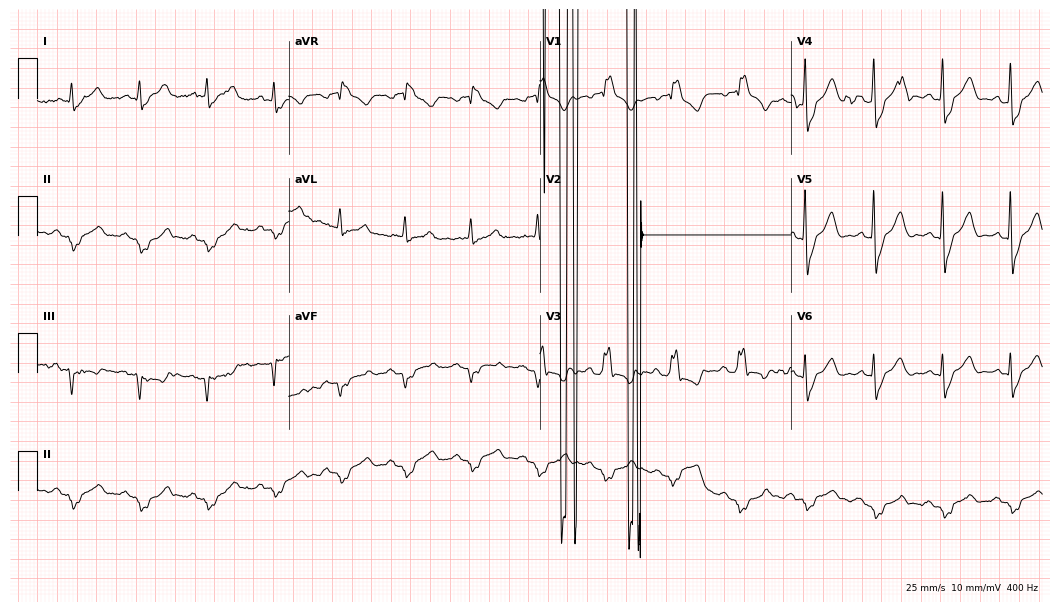
Resting 12-lead electrocardiogram (10.2-second recording at 400 Hz). Patient: a 69-year-old woman. The tracing shows right bundle branch block (RBBB), atrial fibrillation (AF).